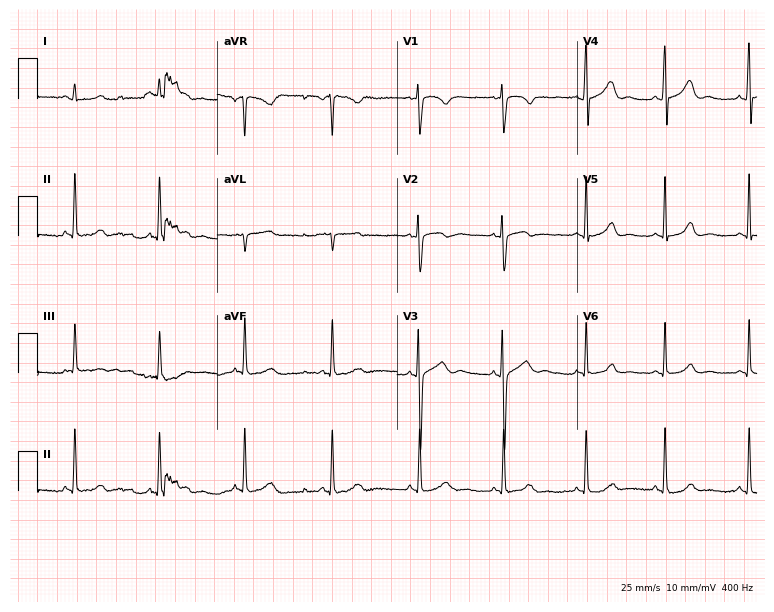
Electrocardiogram, an 18-year-old female patient. Overall reading on record: normal ECG.